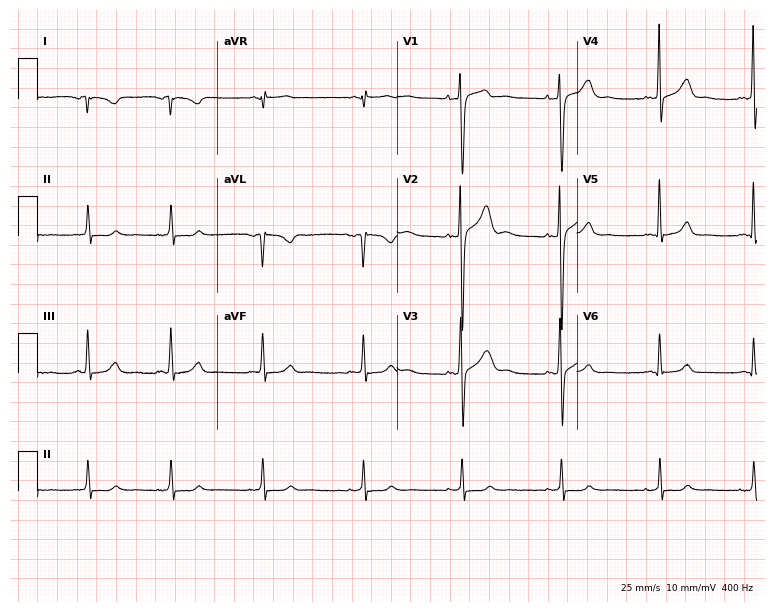
Standard 12-lead ECG recorded from a male patient, 28 years old. None of these six findings is recorded: first-degree AV block, right bundle branch block, left bundle branch block, sinus bradycardia, atrial fibrillation, sinus tachycardia. Findings outside these six are not listed.